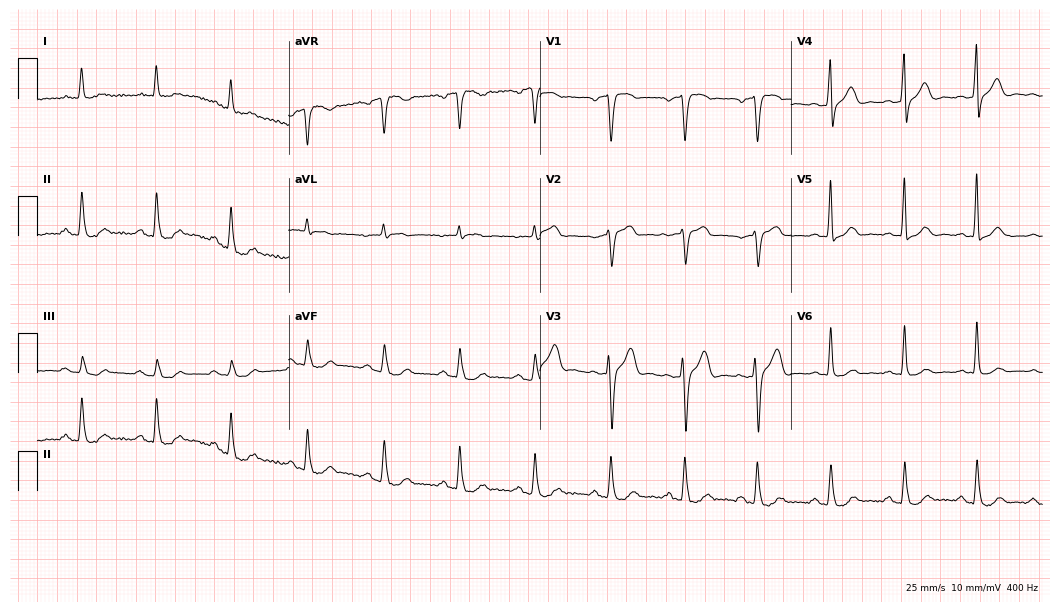
Electrocardiogram (10.2-second recording at 400 Hz), a man, 84 years old. Overall reading on record: normal ECG.